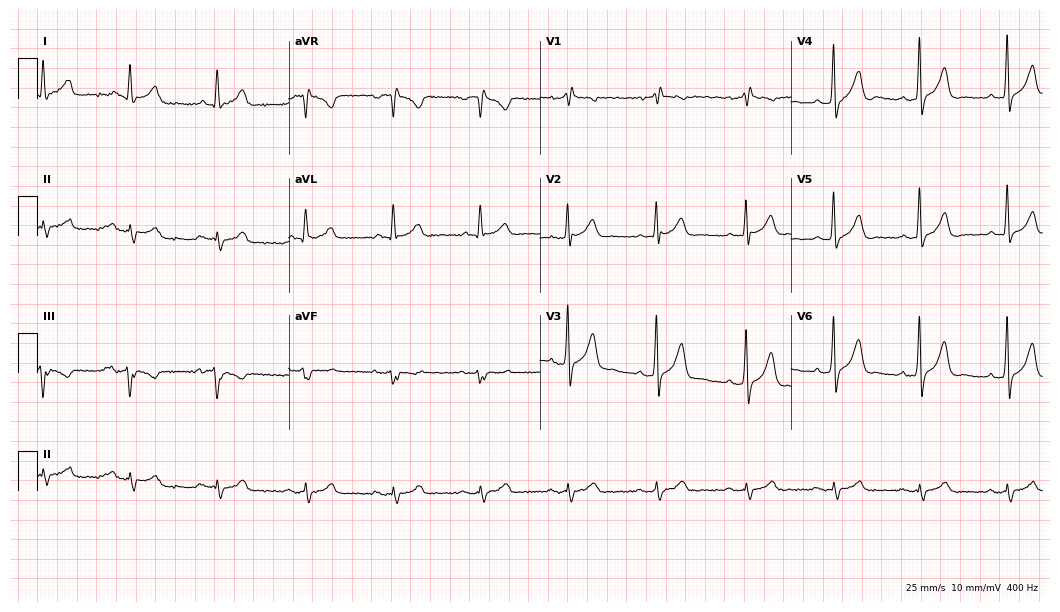
Standard 12-lead ECG recorded from a male patient, 60 years old (10.2-second recording at 400 Hz). None of these six findings is recorded: first-degree AV block, right bundle branch block, left bundle branch block, sinus bradycardia, atrial fibrillation, sinus tachycardia.